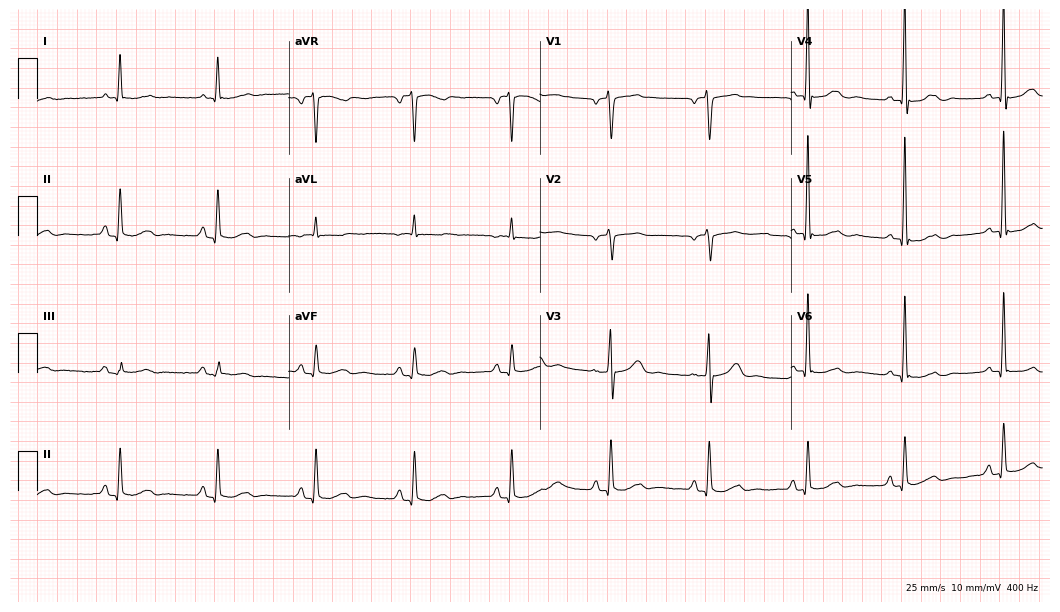
Resting 12-lead electrocardiogram. Patient: a female, 74 years old. None of these six findings is recorded: first-degree AV block, right bundle branch block (RBBB), left bundle branch block (LBBB), sinus bradycardia, atrial fibrillation (AF), sinus tachycardia. Only these six findings were labelled.